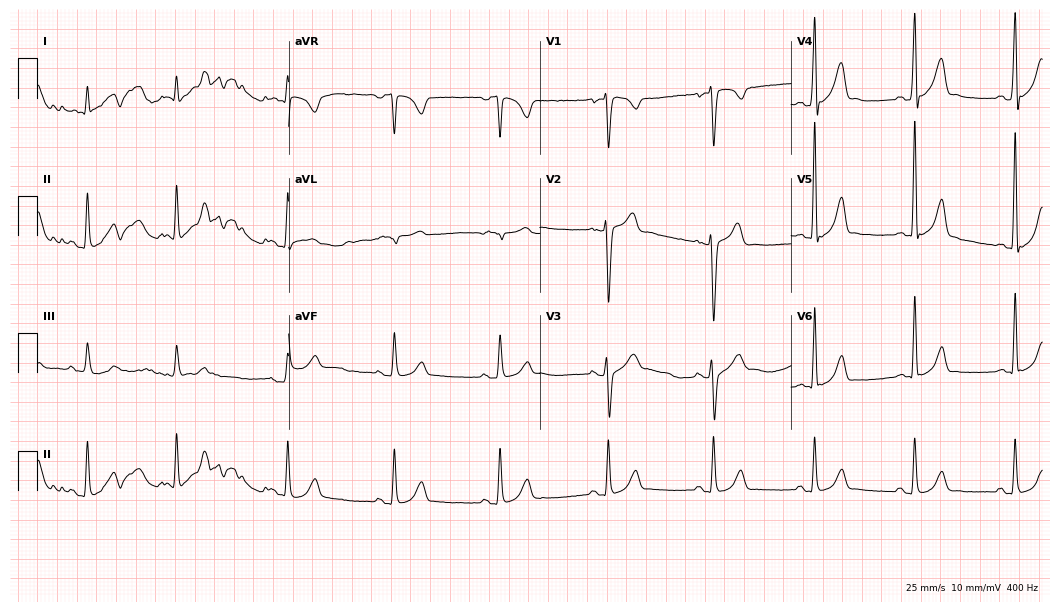
12-lead ECG from a male, 26 years old. Labelled as a normal ECG.